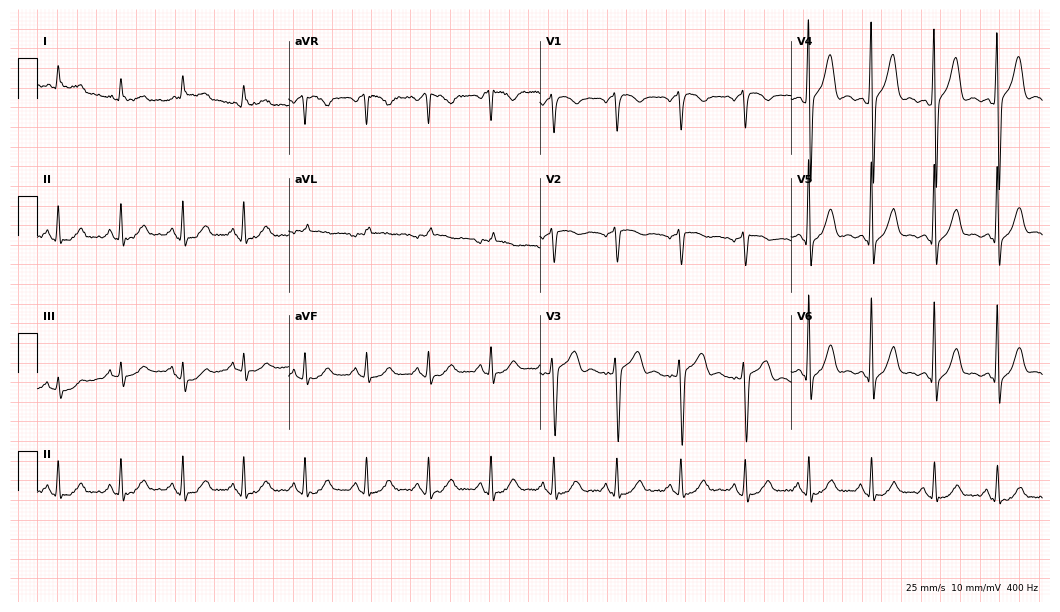
Standard 12-lead ECG recorded from a male patient, 49 years old (10.2-second recording at 400 Hz). None of these six findings is recorded: first-degree AV block, right bundle branch block (RBBB), left bundle branch block (LBBB), sinus bradycardia, atrial fibrillation (AF), sinus tachycardia.